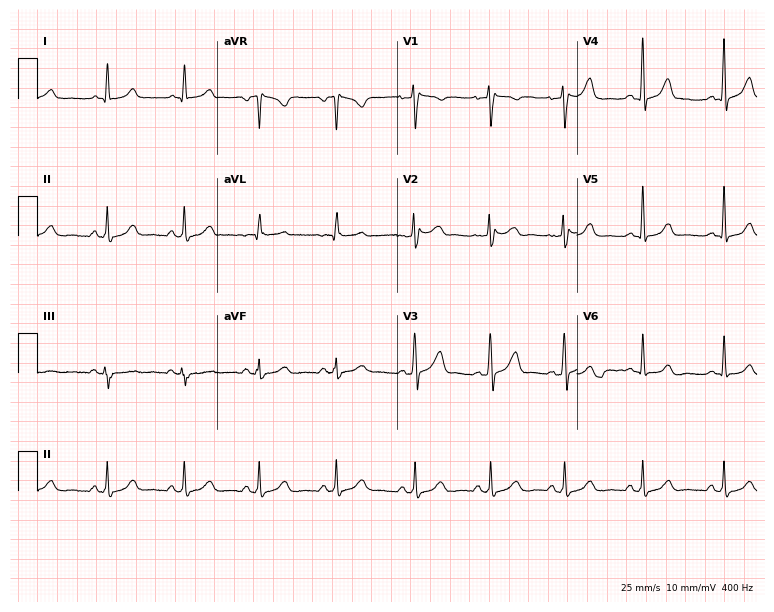
12-lead ECG from a female, 38 years old. Screened for six findings — first-degree AV block, right bundle branch block, left bundle branch block, sinus bradycardia, atrial fibrillation, sinus tachycardia — none is recorded.